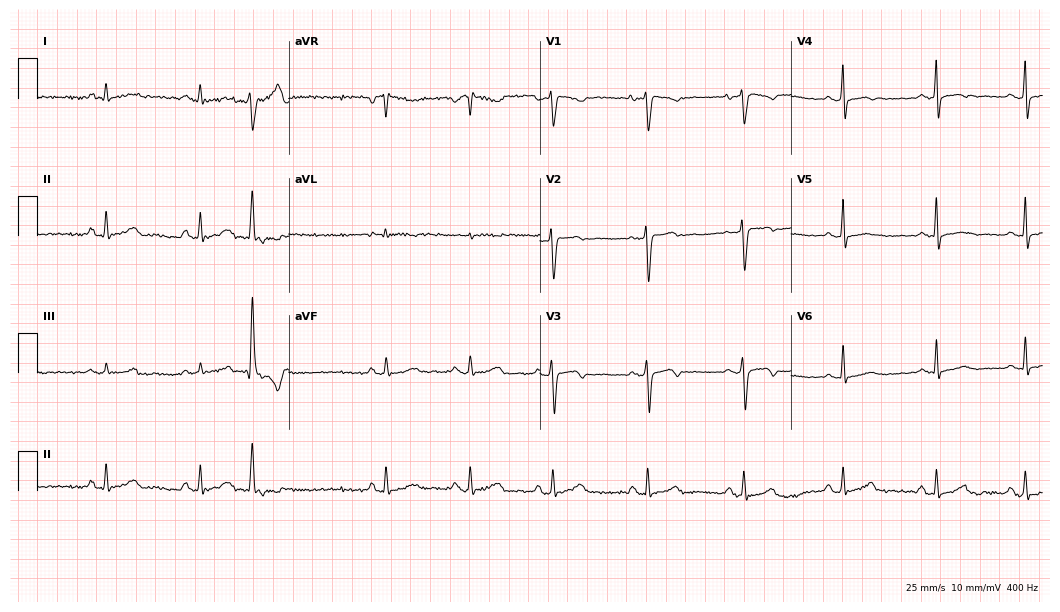
12-lead ECG from a female patient, 34 years old. Screened for six findings — first-degree AV block, right bundle branch block, left bundle branch block, sinus bradycardia, atrial fibrillation, sinus tachycardia — none is recorded.